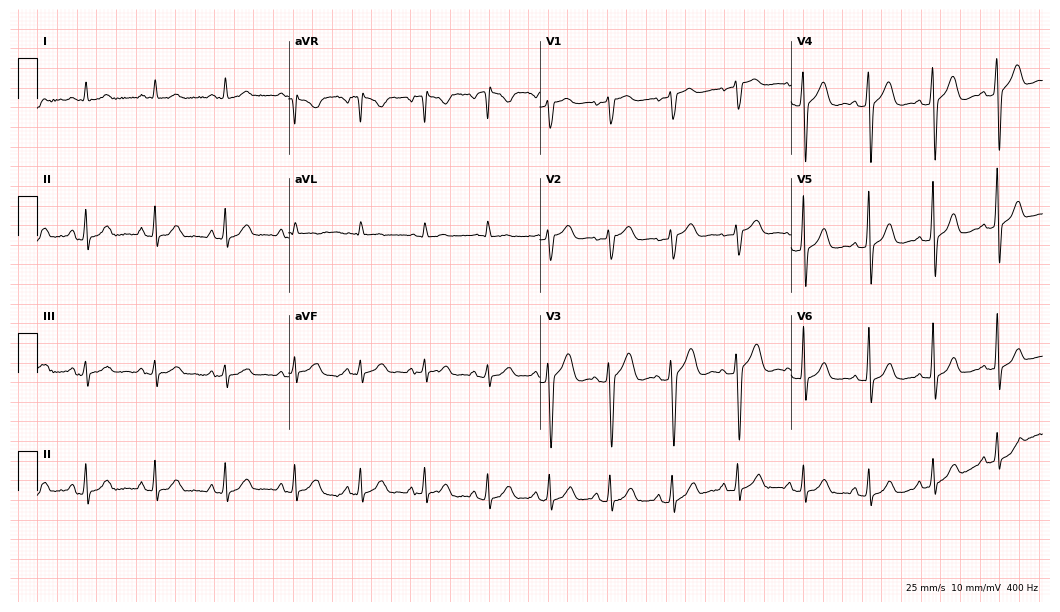
Electrocardiogram, a 38-year-old female. Overall reading on record: normal ECG.